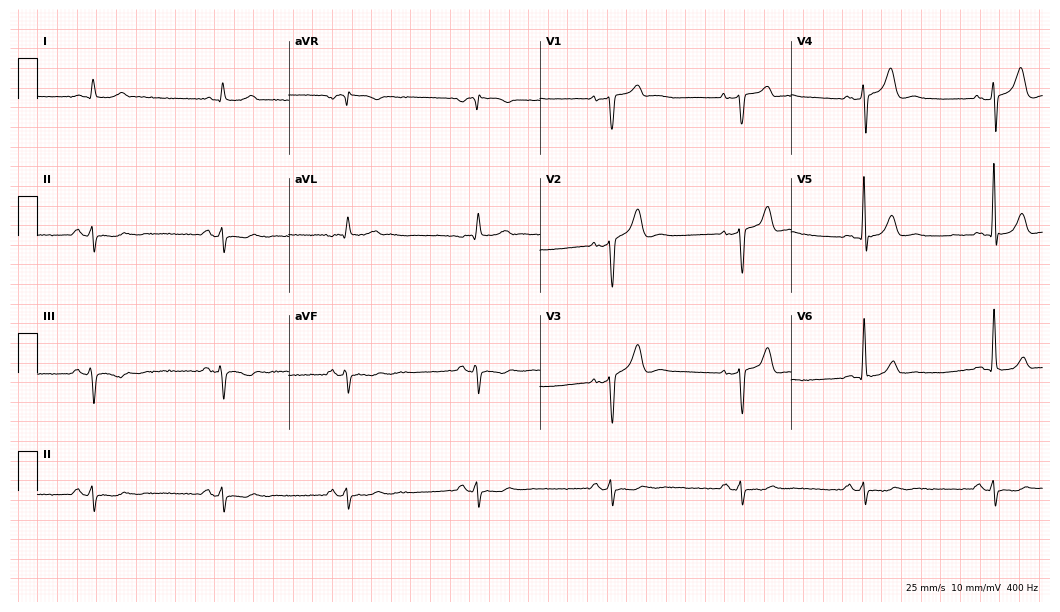
12-lead ECG from a 63-year-old man. Findings include sinus bradycardia (a sinus rate of 50 beats per minute or less).